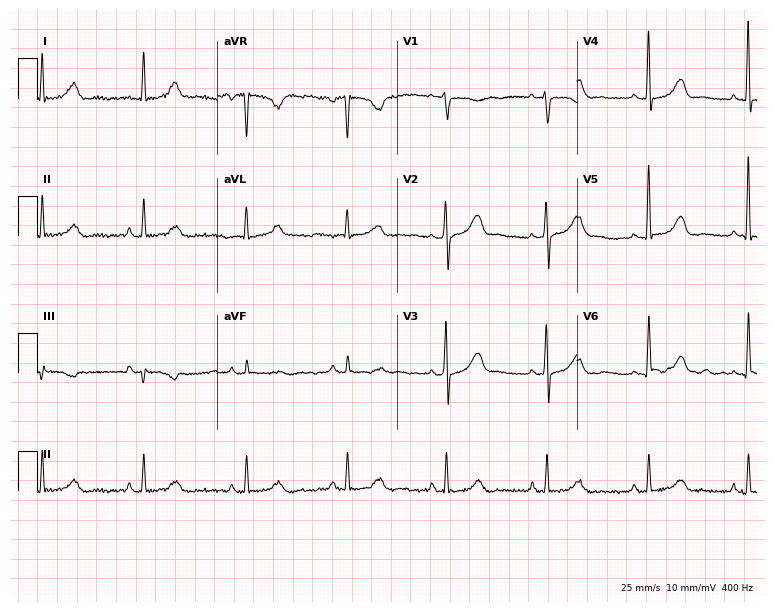
12-lead ECG from a female, 45 years old (7.3-second recording at 400 Hz). Recorded interpretation: within normal limits.